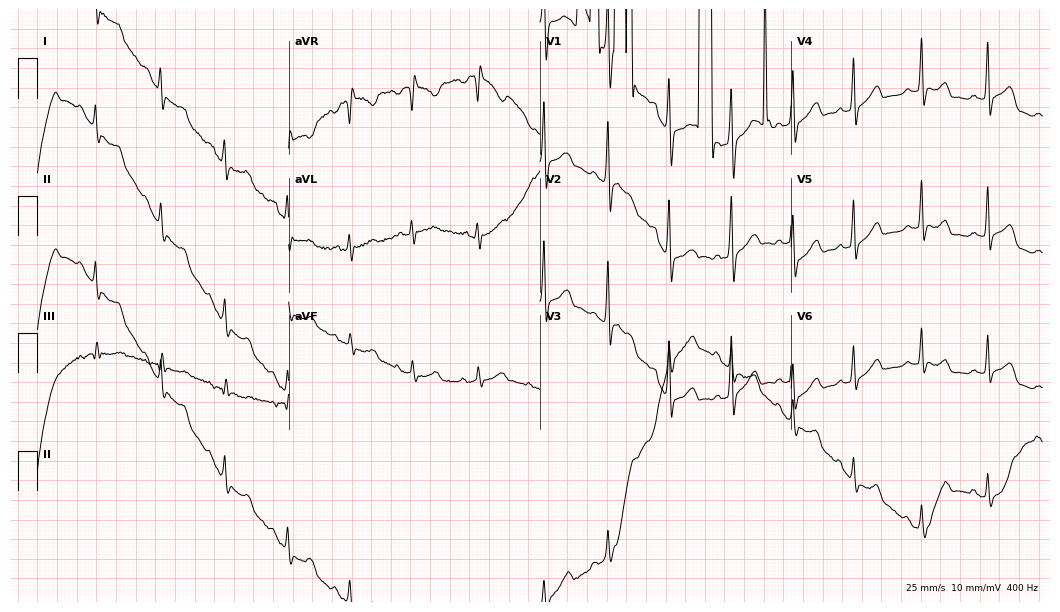
12-lead ECG from a female, 23 years old (10.2-second recording at 400 Hz). No first-degree AV block, right bundle branch block, left bundle branch block, sinus bradycardia, atrial fibrillation or sinus tachycardia recorded for this tracing. Only these six findings were labelled.